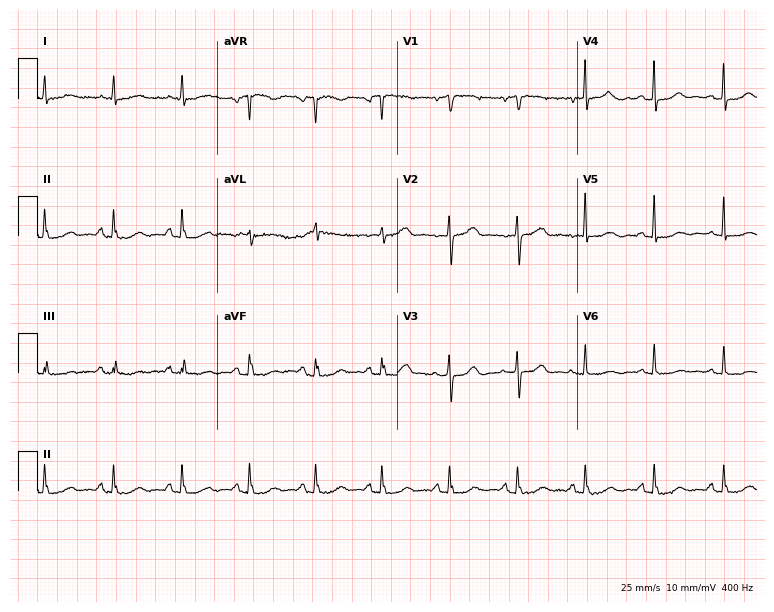
Standard 12-lead ECG recorded from a woman, 76 years old (7.3-second recording at 400 Hz). Read as a normal ECG.